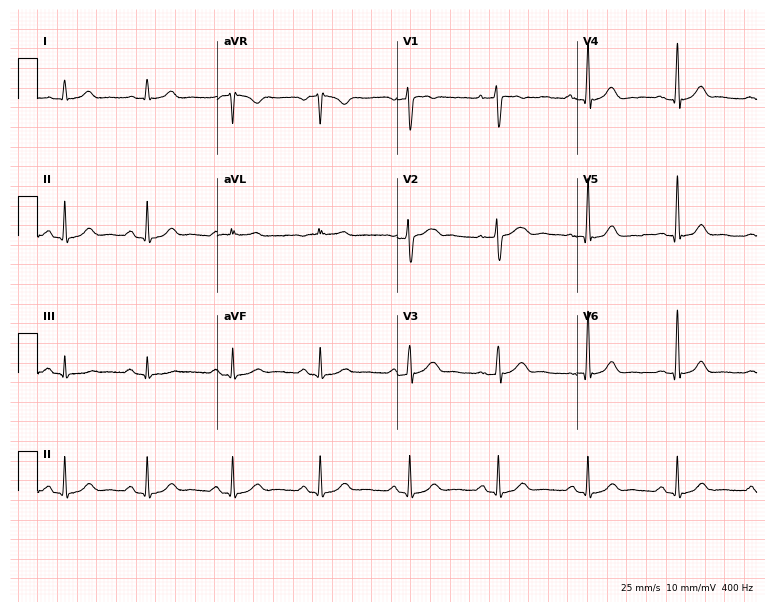
ECG (7.3-second recording at 400 Hz) — a male patient, 50 years old. Labelled as a normal ECG.